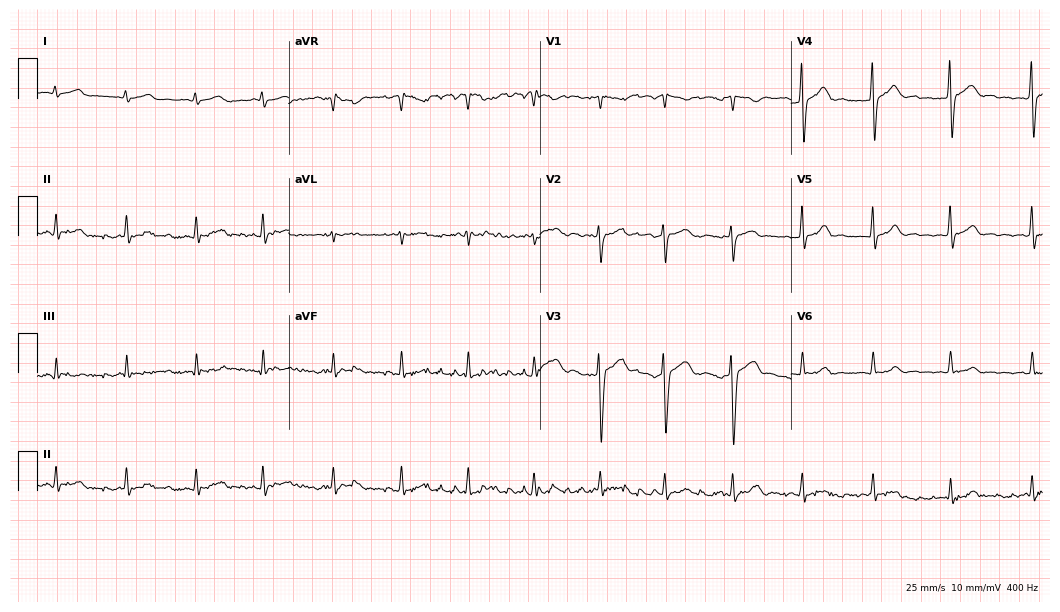
Resting 12-lead electrocardiogram. Patient: a female, 27 years old. None of these six findings is recorded: first-degree AV block, right bundle branch block, left bundle branch block, sinus bradycardia, atrial fibrillation, sinus tachycardia.